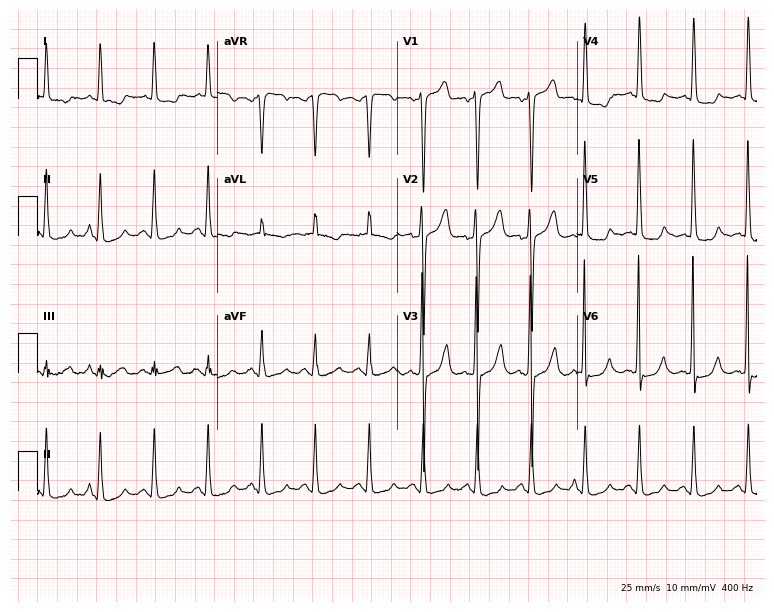
12-lead ECG from a 75-year-old male. Screened for six findings — first-degree AV block, right bundle branch block, left bundle branch block, sinus bradycardia, atrial fibrillation, sinus tachycardia — none is recorded.